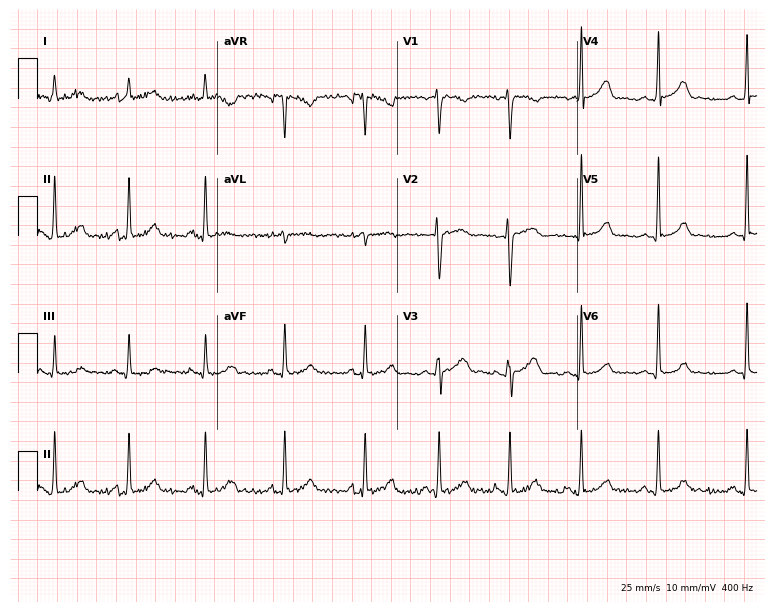
12-lead ECG (7.3-second recording at 400 Hz) from a female, 29 years old. Labelled as a normal ECG.